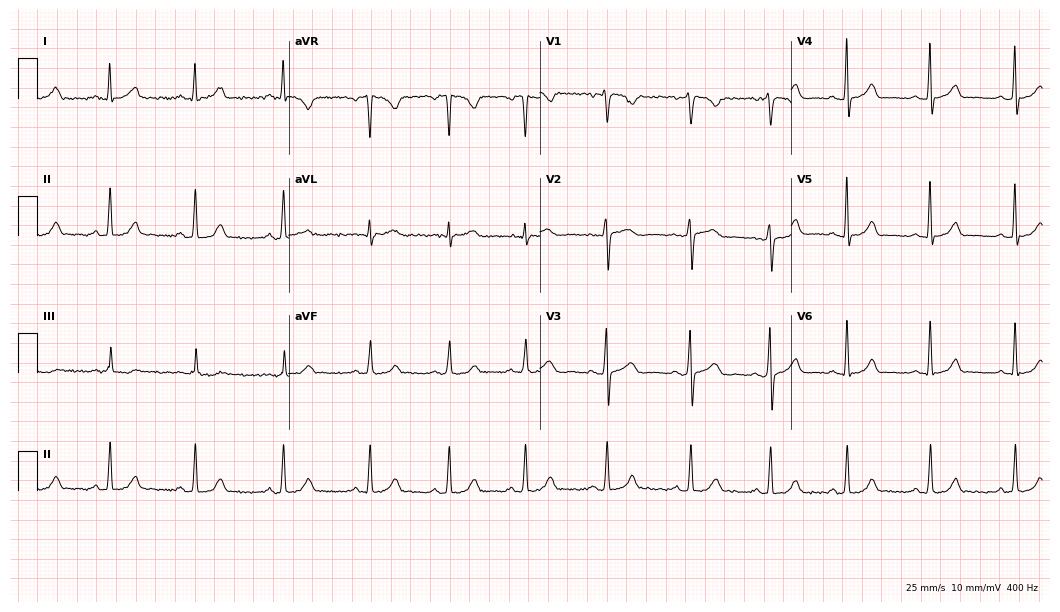
Resting 12-lead electrocardiogram. Patient: a 25-year-old woman. None of these six findings is recorded: first-degree AV block, right bundle branch block, left bundle branch block, sinus bradycardia, atrial fibrillation, sinus tachycardia. Findings outside these six are not listed.